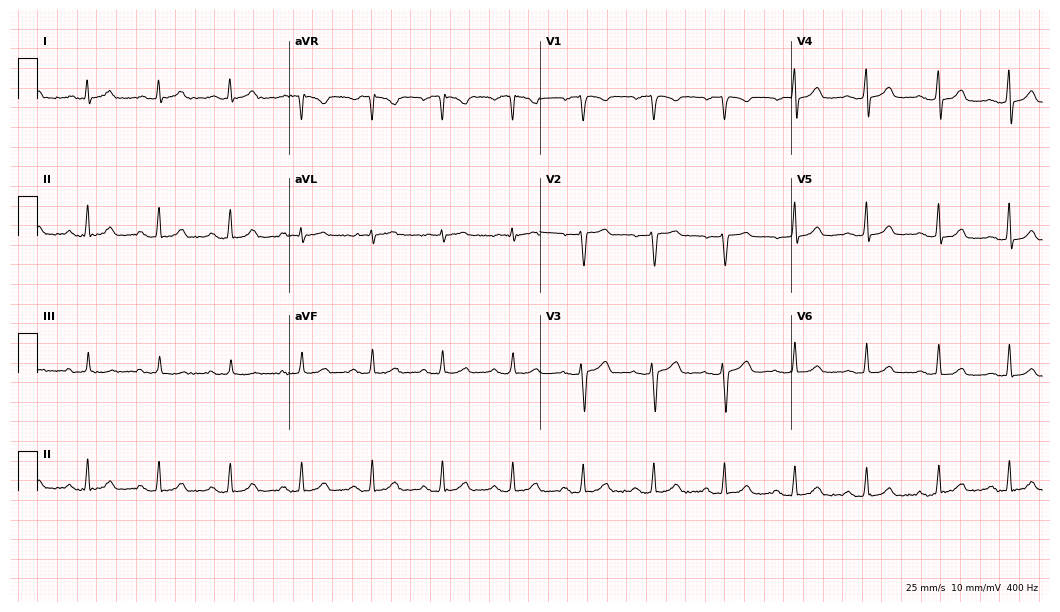
Electrocardiogram, a 46-year-old female patient. Overall reading on record: normal ECG.